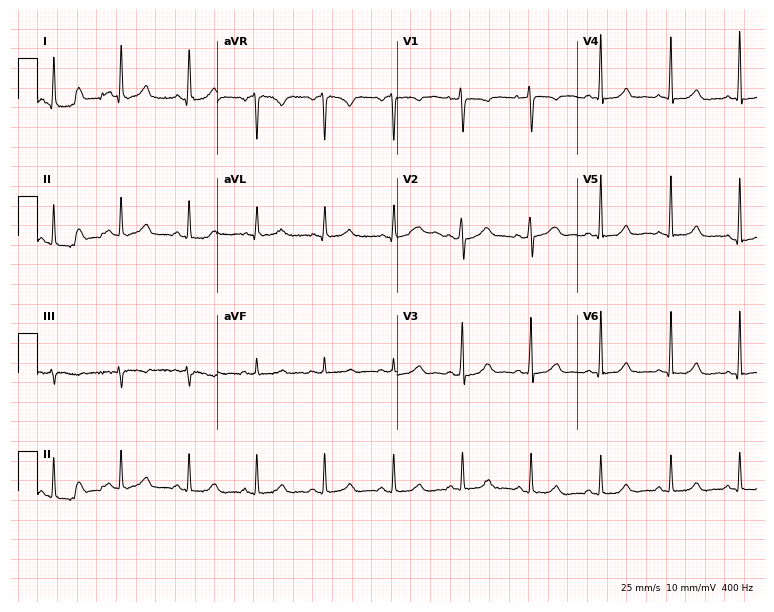
ECG — a woman, 41 years old. Labelled as a normal ECG.